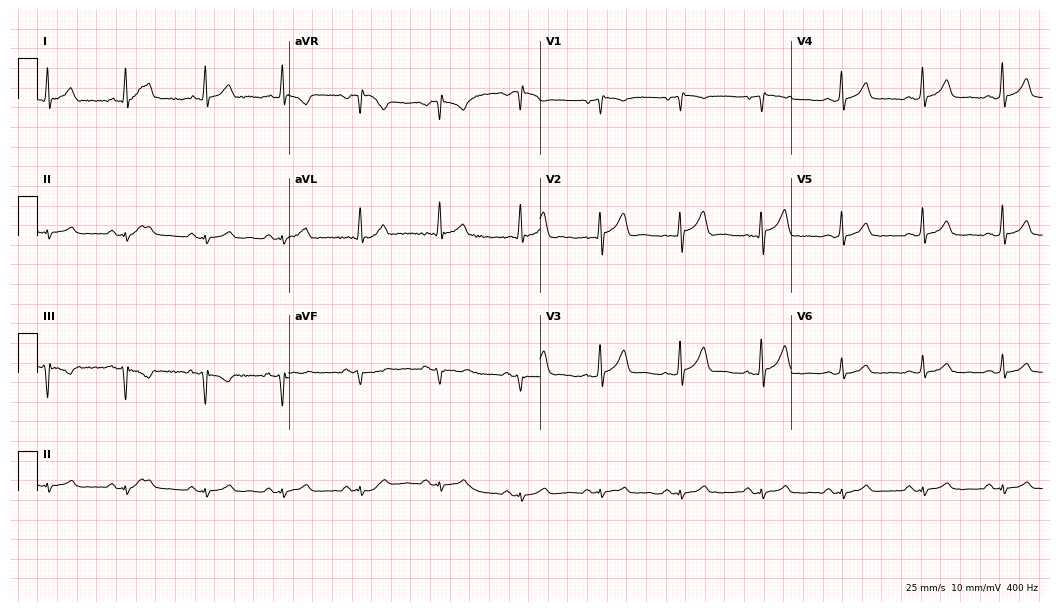
12-lead ECG from a 44-year-old male (10.2-second recording at 400 Hz). Recorded interpretation: within normal limits.